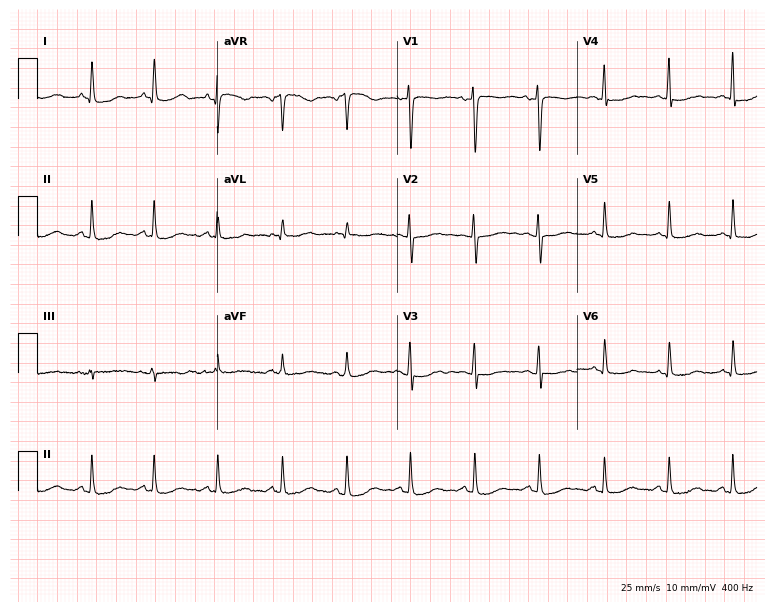
12-lead ECG from a woman, 47 years old. No first-degree AV block, right bundle branch block (RBBB), left bundle branch block (LBBB), sinus bradycardia, atrial fibrillation (AF) or sinus tachycardia recorded for this tracing. Only these six findings were labelled.